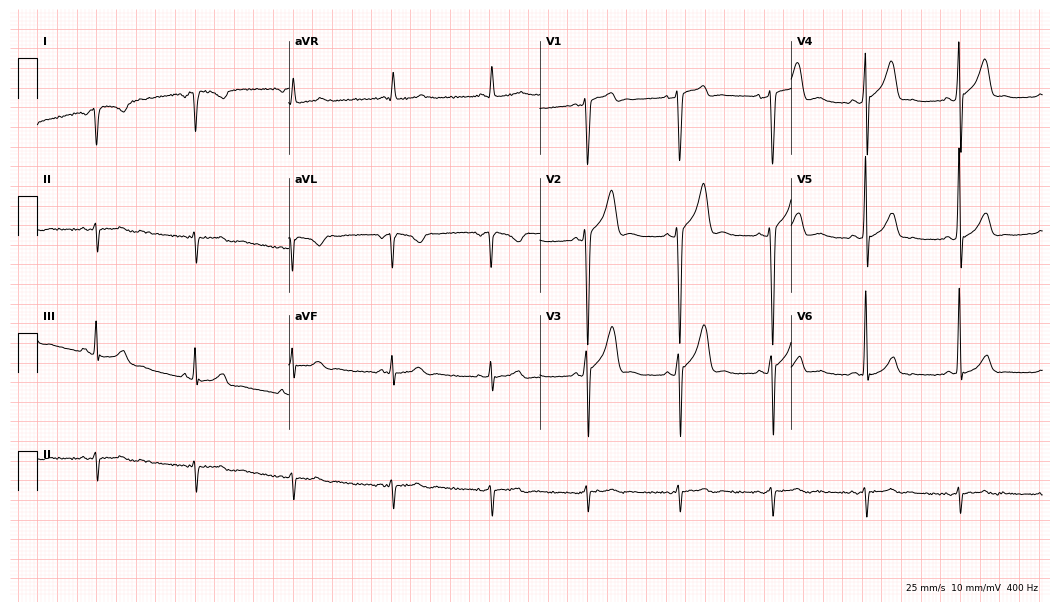
Standard 12-lead ECG recorded from a 28-year-old male. None of these six findings is recorded: first-degree AV block, right bundle branch block, left bundle branch block, sinus bradycardia, atrial fibrillation, sinus tachycardia. Only these six findings were labelled.